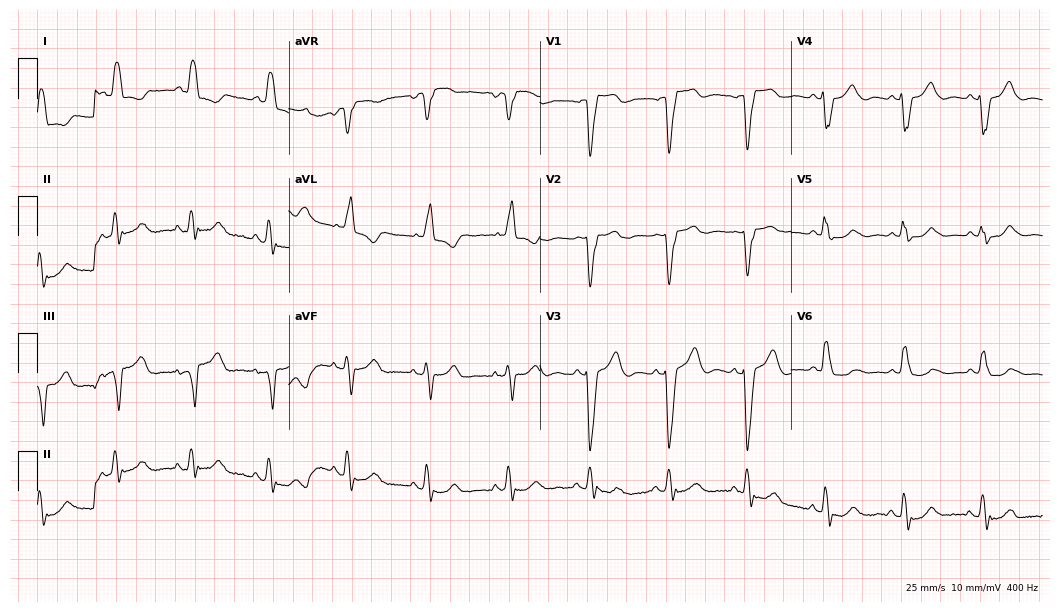
ECG (10.2-second recording at 400 Hz) — a 55-year-old woman. Findings include left bundle branch block (LBBB).